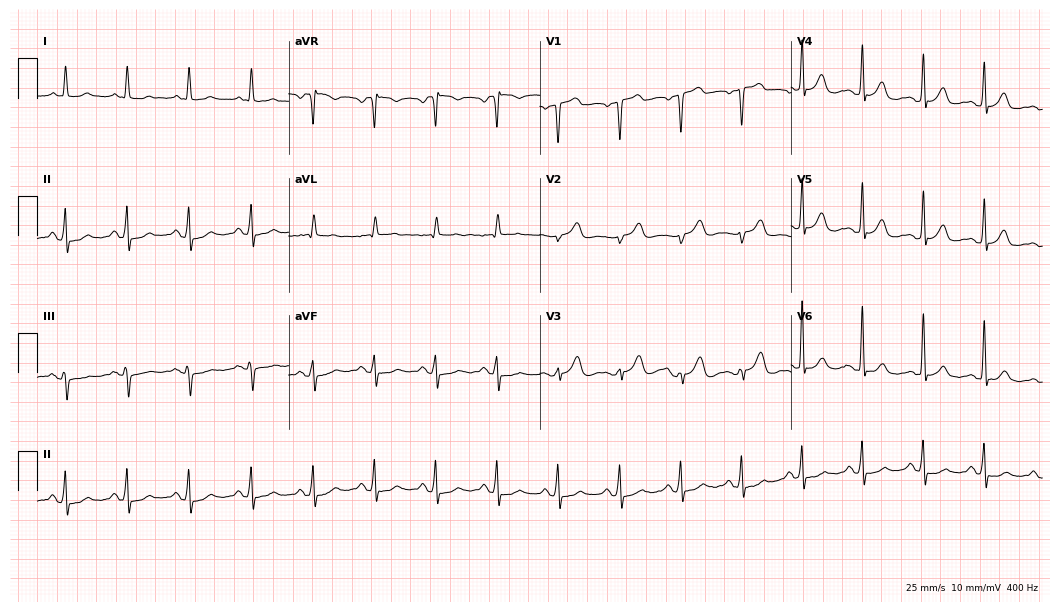
Resting 12-lead electrocardiogram. Patient: a 69-year-old male. Read as a normal ECG.